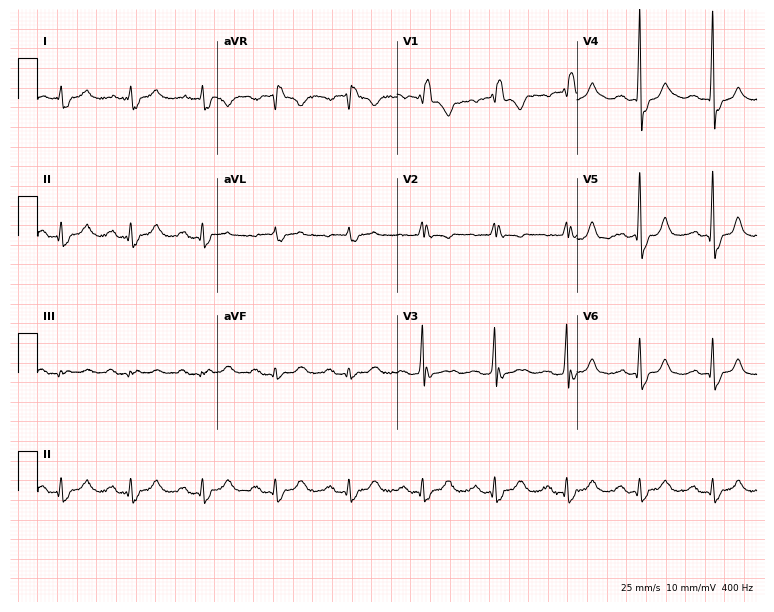
Resting 12-lead electrocardiogram. Patient: a man, 74 years old. The tracing shows right bundle branch block.